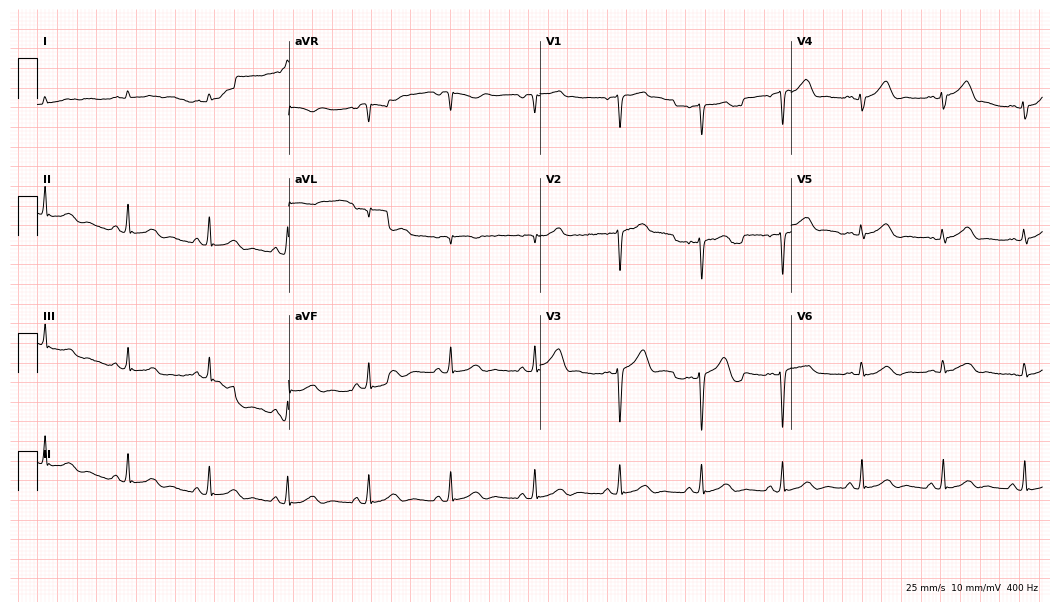
Standard 12-lead ECG recorded from a 44-year-old female (10.2-second recording at 400 Hz). None of these six findings is recorded: first-degree AV block, right bundle branch block, left bundle branch block, sinus bradycardia, atrial fibrillation, sinus tachycardia. Other findings, if any, are not listed.